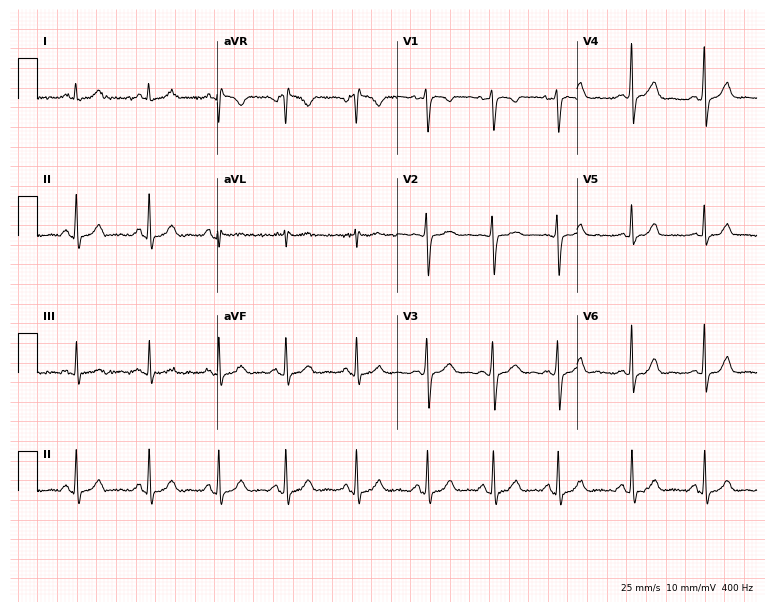
Resting 12-lead electrocardiogram. Patient: a 25-year-old woman. Read as a normal ECG.